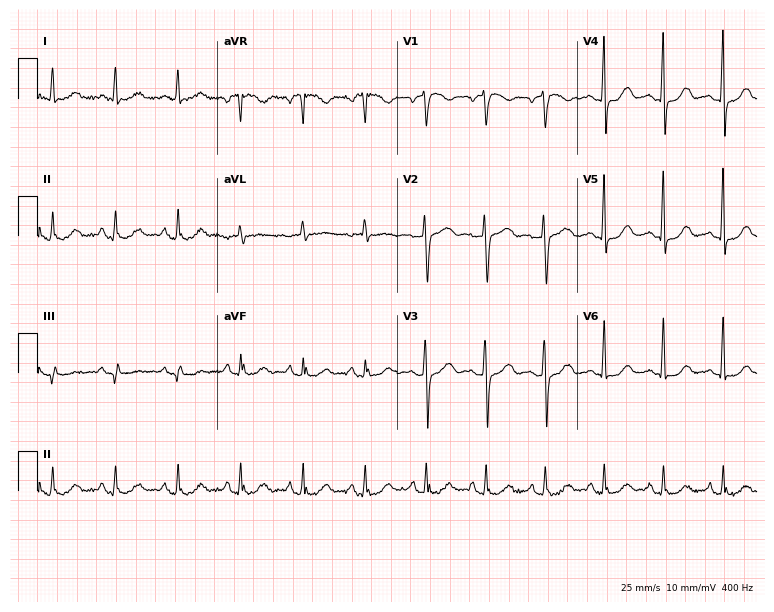
Electrocardiogram (7.3-second recording at 400 Hz), a 69-year-old woman. Overall reading on record: normal ECG.